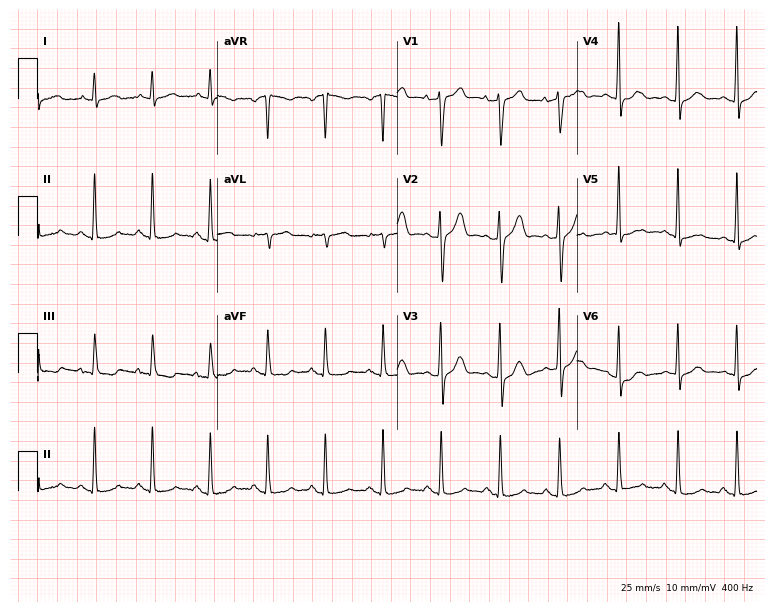
ECG (7.3-second recording at 400 Hz) — a 68-year-old male. Screened for six findings — first-degree AV block, right bundle branch block, left bundle branch block, sinus bradycardia, atrial fibrillation, sinus tachycardia — none is recorded. Findings outside these six are not listed.